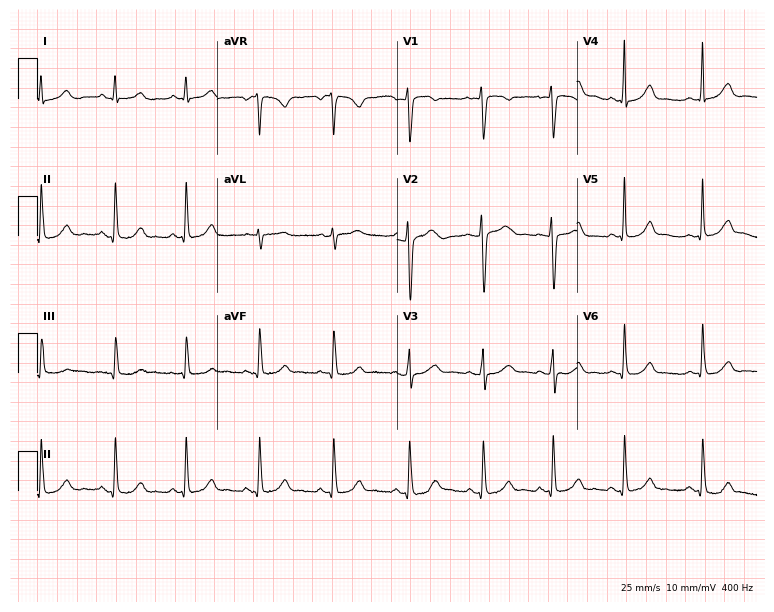
12-lead ECG from a female patient, 49 years old (7.3-second recording at 400 Hz). Recorded interpretation: within normal limits.